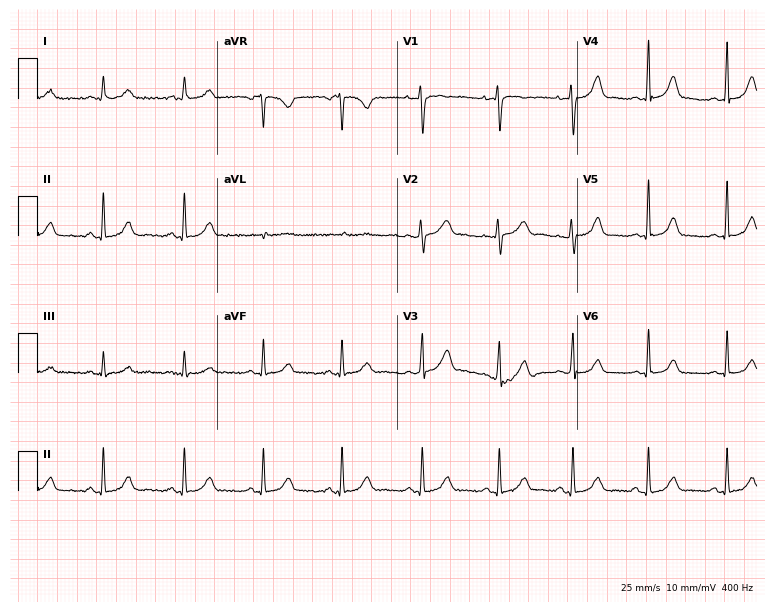
Electrocardiogram, a 36-year-old woman. Overall reading on record: normal ECG.